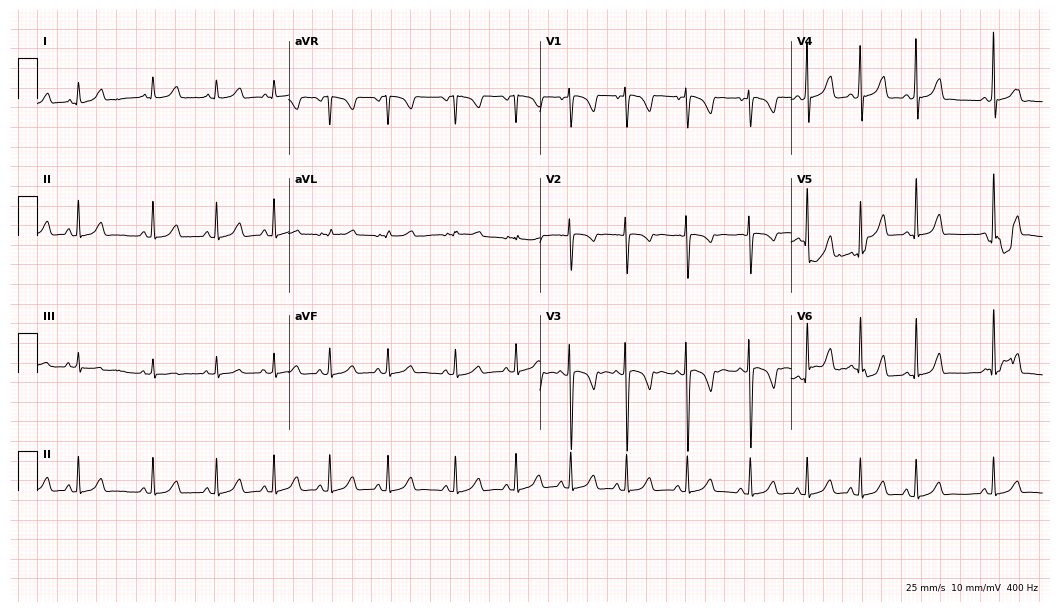
Standard 12-lead ECG recorded from a female patient, 63 years old. Read as a normal ECG.